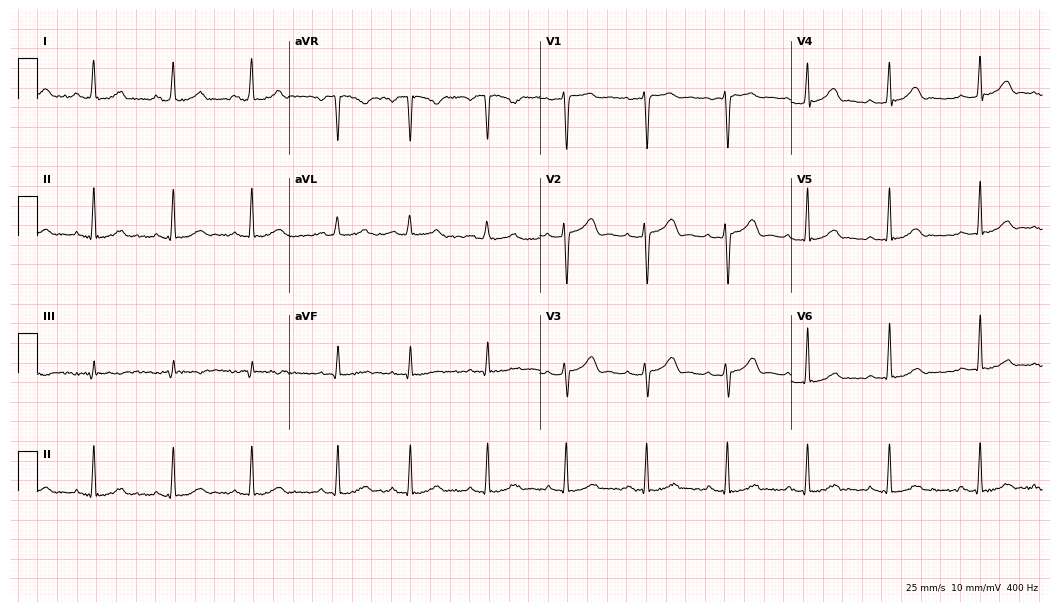
Resting 12-lead electrocardiogram (10.2-second recording at 400 Hz). Patient: a female, 38 years old. Read as a normal ECG.